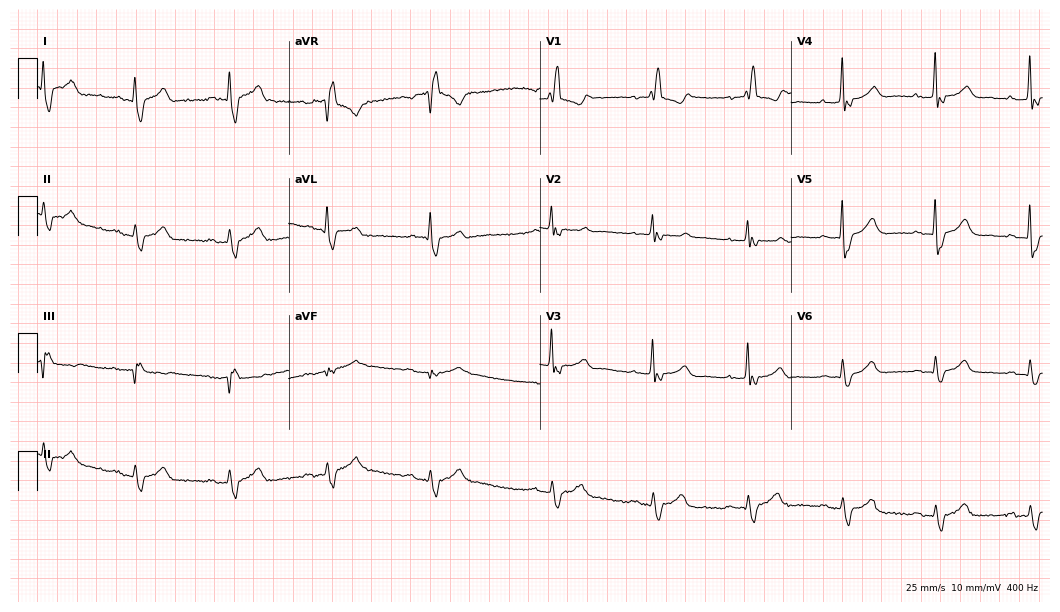
Standard 12-lead ECG recorded from a 65-year-old woman (10.2-second recording at 400 Hz). None of these six findings is recorded: first-degree AV block, right bundle branch block, left bundle branch block, sinus bradycardia, atrial fibrillation, sinus tachycardia. Other findings, if any, are not listed.